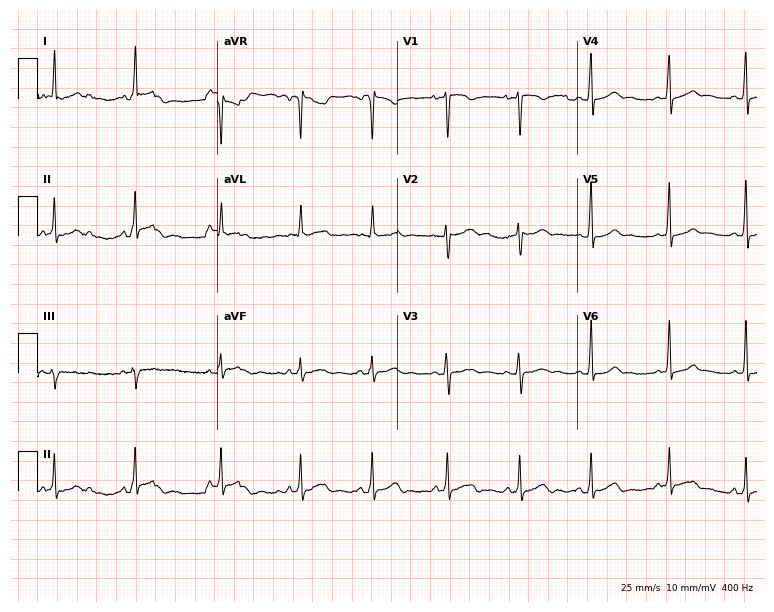
Electrocardiogram (7.3-second recording at 400 Hz), a 28-year-old female patient. Overall reading on record: normal ECG.